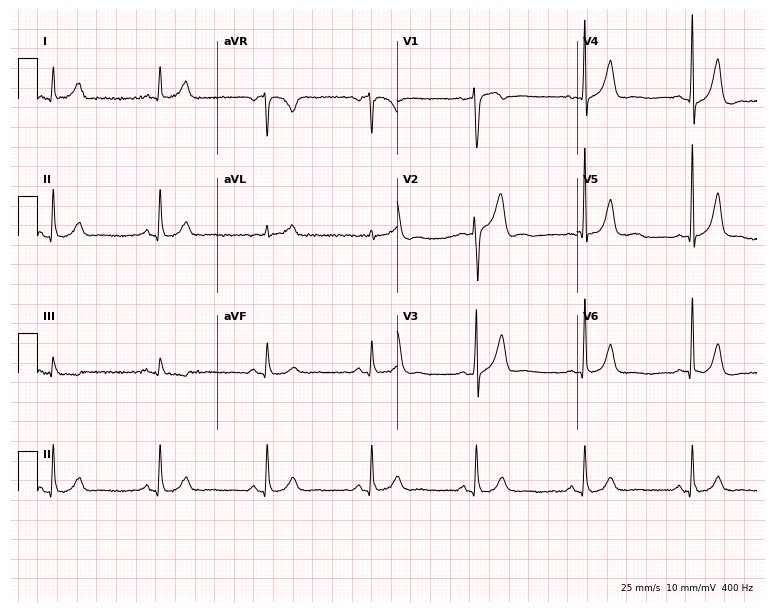
Electrocardiogram (7.3-second recording at 400 Hz), a man, 59 years old. Of the six screened findings (first-degree AV block, right bundle branch block, left bundle branch block, sinus bradycardia, atrial fibrillation, sinus tachycardia), none is recorded. Only these six findings were labelled.